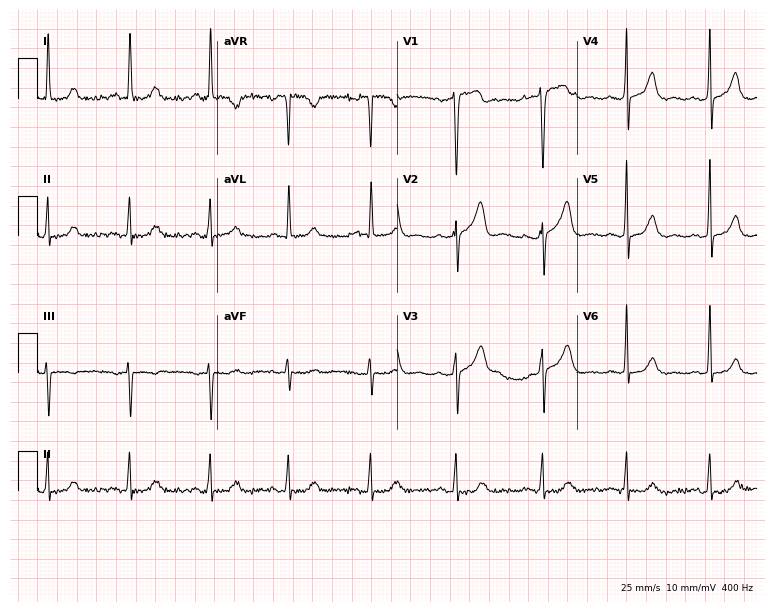
Resting 12-lead electrocardiogram. Patient: a woman, 43 years old. None of these six findings is recorded: first-degree AV block, right bundle branch block, left bundle branch block, sinus bradycardia, atrial fibrillation, sinus tachycardia.